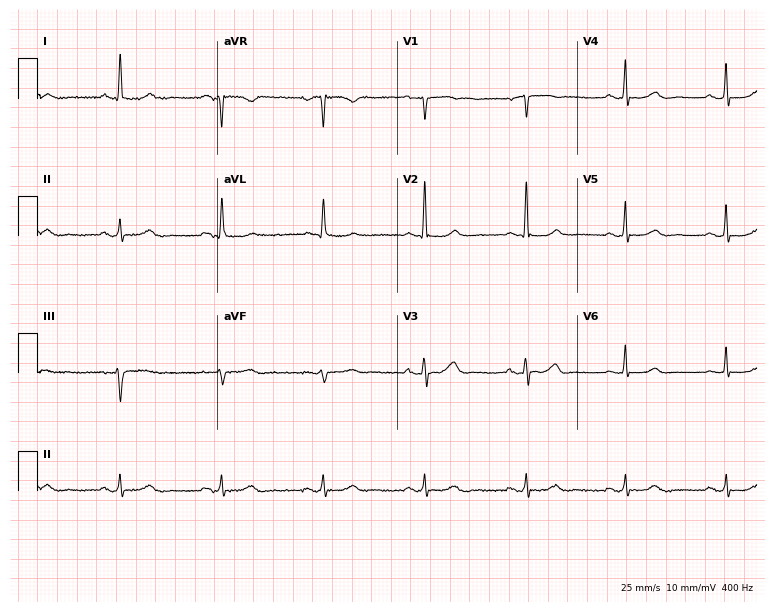
12-lead ECG (7.3-second recording at 400 Hz) from a 75-year-old woman. Labelled as a normal ECG.